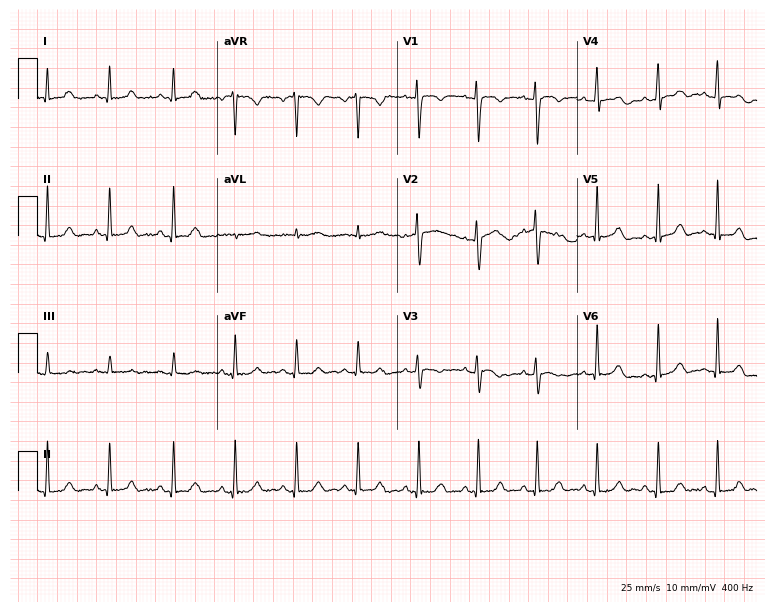
12-lead ECG (7.3-second recording at 400 Hz) from a female patient, 23 years old. Labelled as a normal ECG.